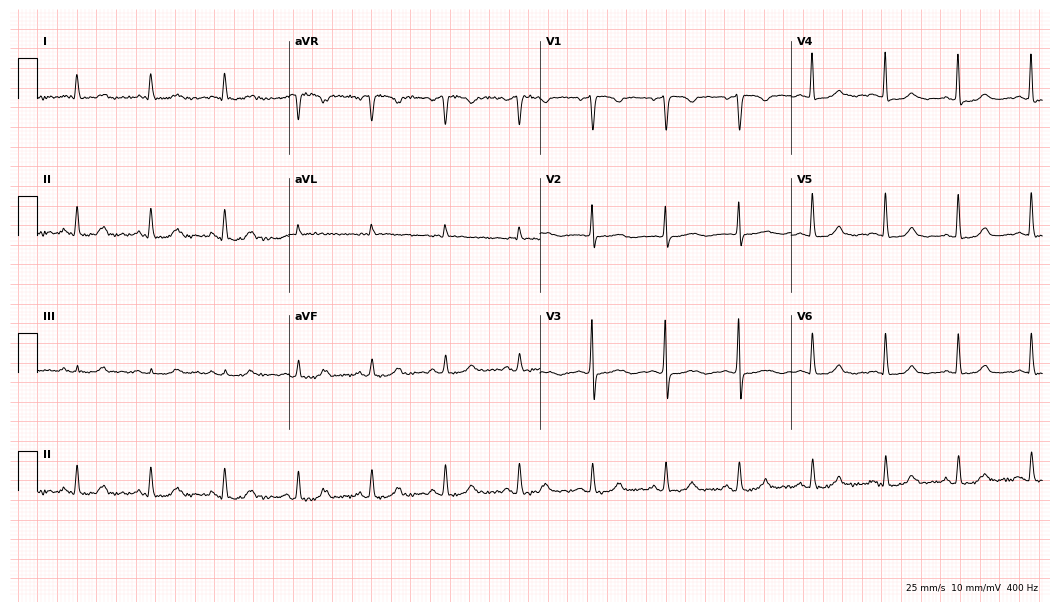
Resting 12-lead electrocardiogram (10.2-second recording at 400 Hz). Patient: a female, 83 years old. Read as a normal ECG.